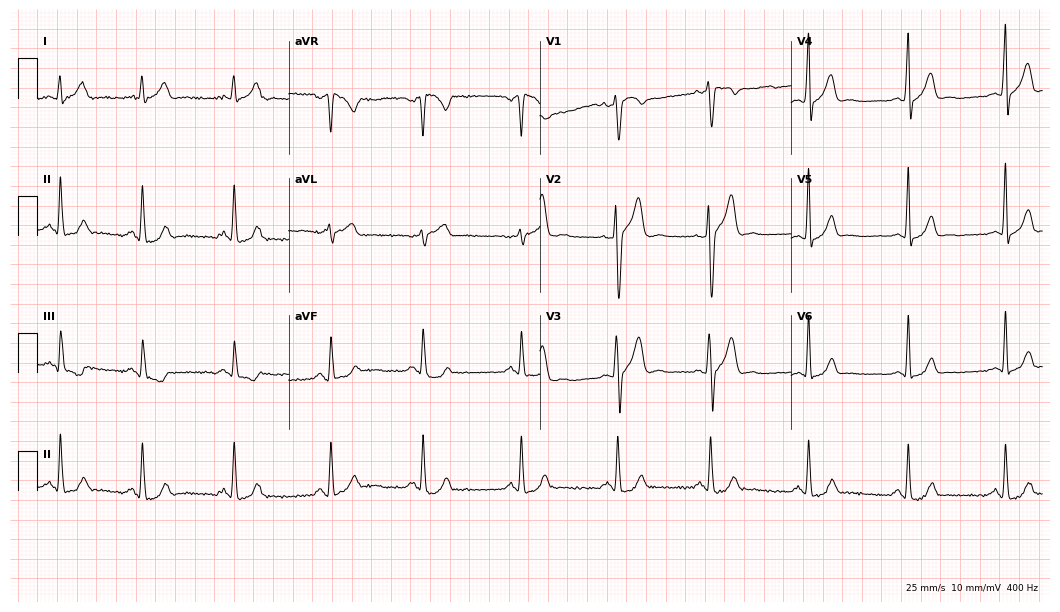
Electrocardiogram (10.2-second recording at 400 Hz), a man, 31 years old. Of the six screened findings (first-degree AV block, right bundle branch block, left bundle branch block, sinus bradycardia, atrial fibrillation, sinus tachycardia), none is recorded.